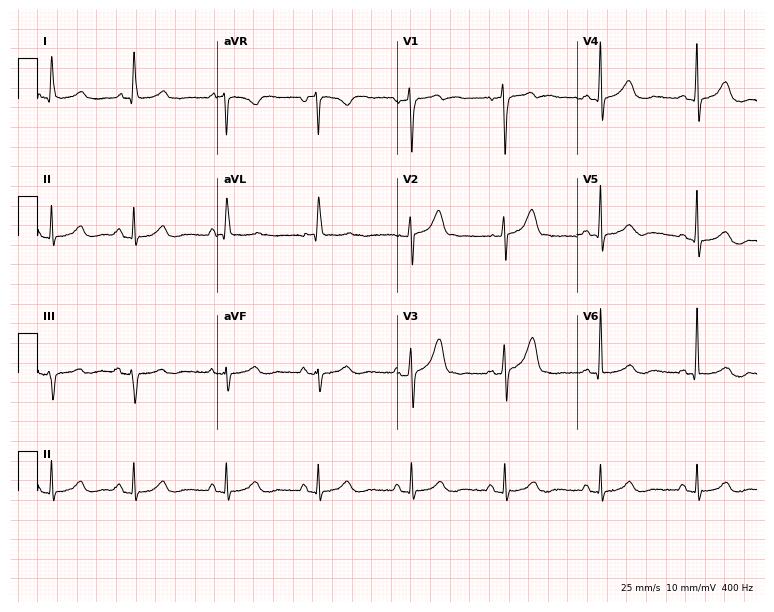
ECG — a man, 64 years old. Screened for six findings — first-degree AV block, right bundle branch block, left bundle branch block, sinus bradycardia, atrial fibrillation, sinus tachycardia — none is recorded. Only these six findings were labelled.